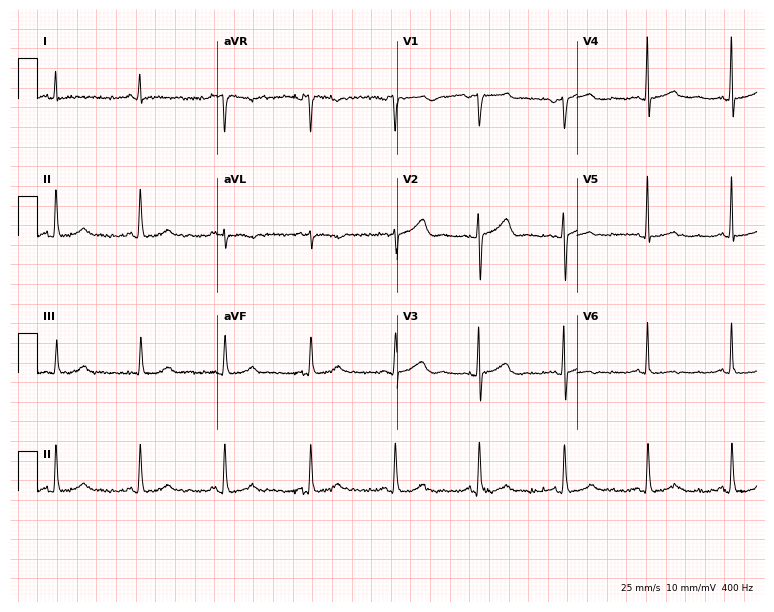
Standard 12-lead ECG recorded from a female, 68 years old. None of these six findings is recorded: first-degree AV block, right bundle branch block, left bundle branch block, sinus bradycardia, atrial fibrillation, sinus tachycardia.